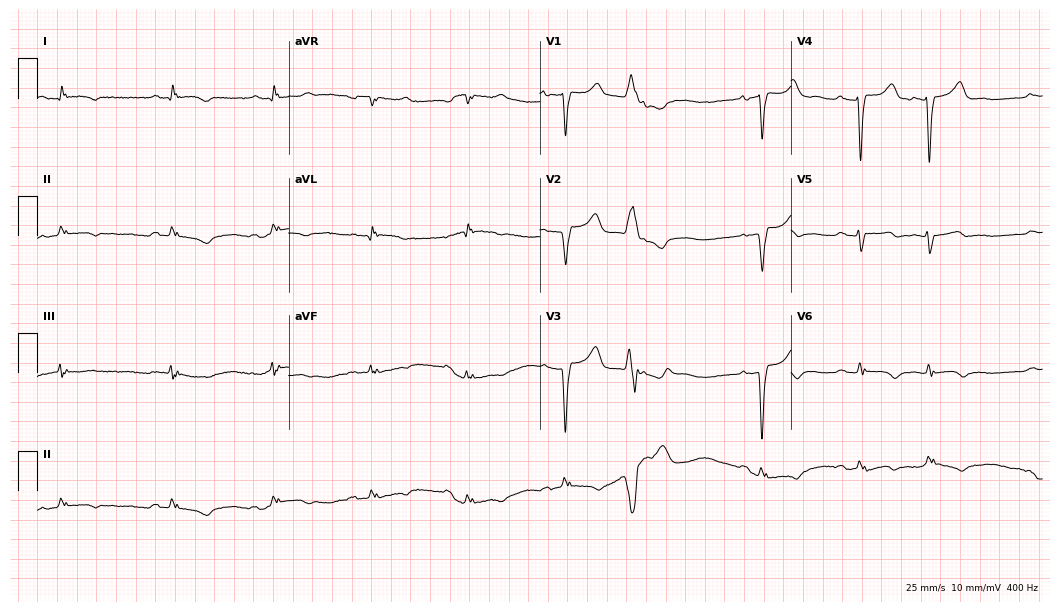
Electrocardiogram, a woman, 52 years old. Of the six screened findings (first-degree AV block, right bundle branch block, left bundle branch block, sinus bradycardia, atrial fibrillation, sinus tachycardia), none is recorded. Only these six findings were labelled.